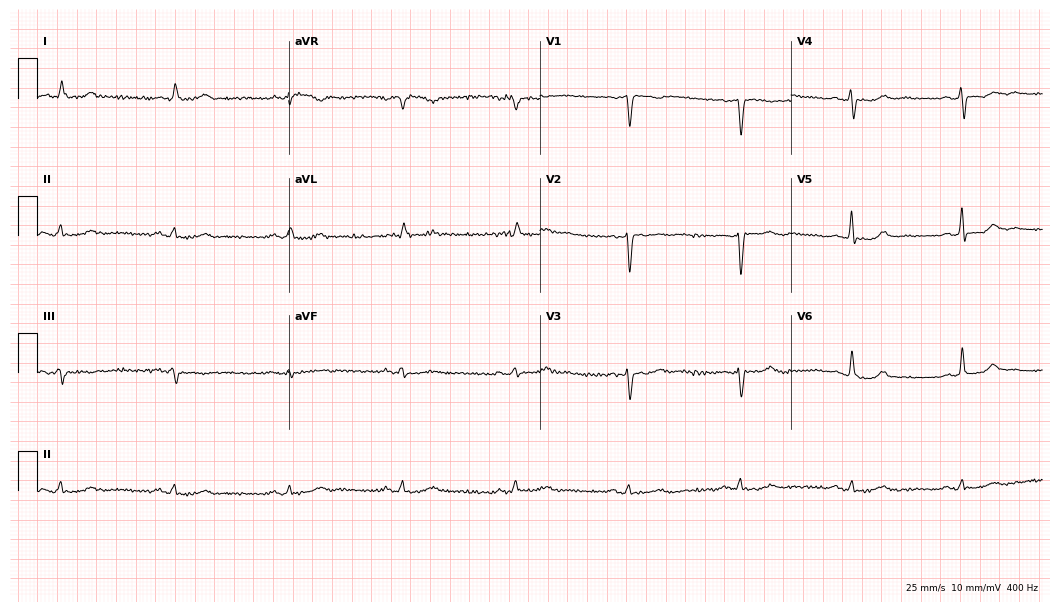
12-lead ECG from a male patient, 77 years old. No first-degree AV block, right bundle branch block, left bundle branch block, sinus bradycardia, atrial fibrillation or sinus tachycardia recorded for this tracing.